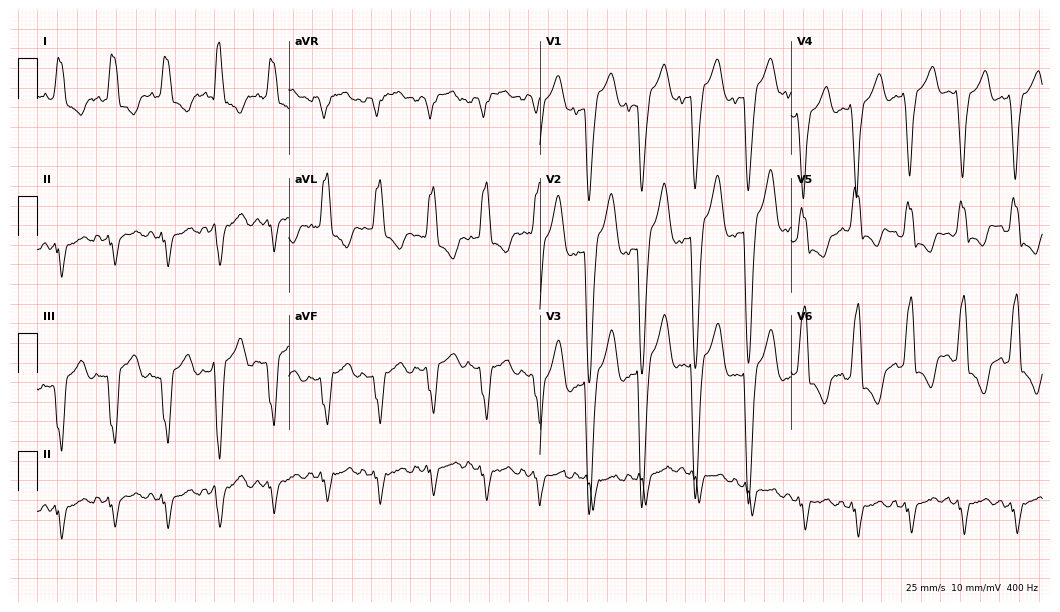
12-lead ECG (10.2-second recording at 400 Hz) from a 75-year-old woman. Findings include left bundle branch block (LBBB), sinus tachycardia (a sinus rate of 100 beats per minute or more).